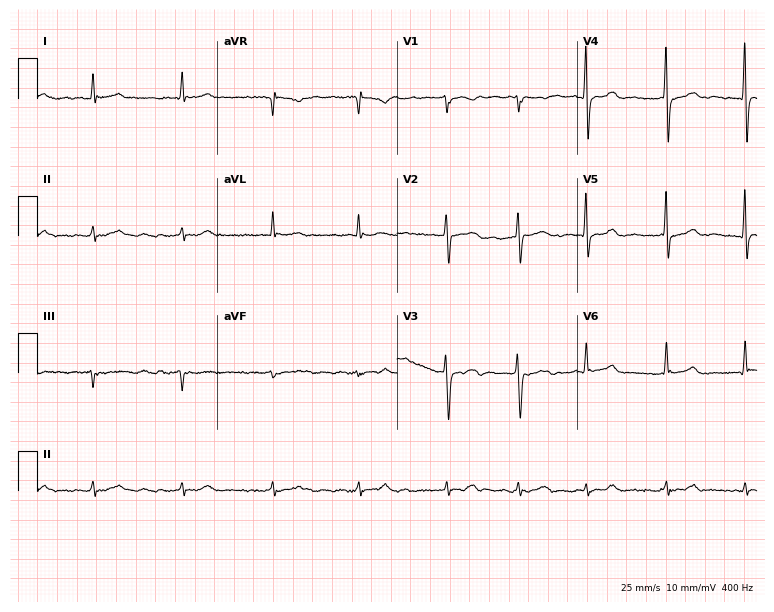
Electrocardiogram (7.3-second recording at 400 Hz), a man, 73 years old. Of the six screened findings (first-degree AV block, right bundle branch block (RBBB), left bundle branch block (LBBB), sinus bradycardia, atrial fibrillation (AF), sinus tachycardia), none is recorded.